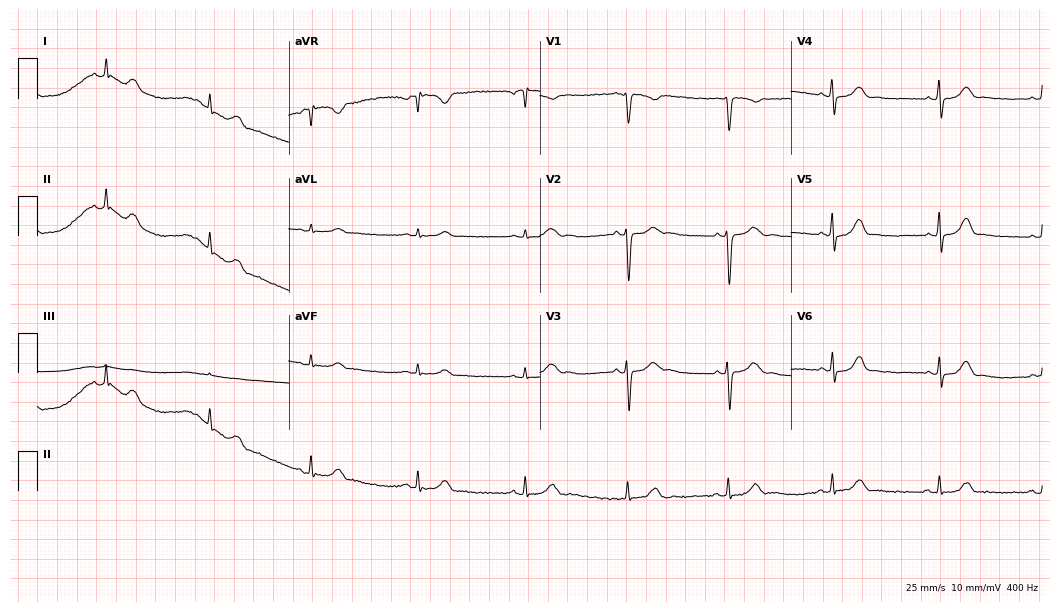
Electrocardiogram (10.2-second recording at 400 Hz), a 19-year-old woman. Overall reading on record: normal ECG.